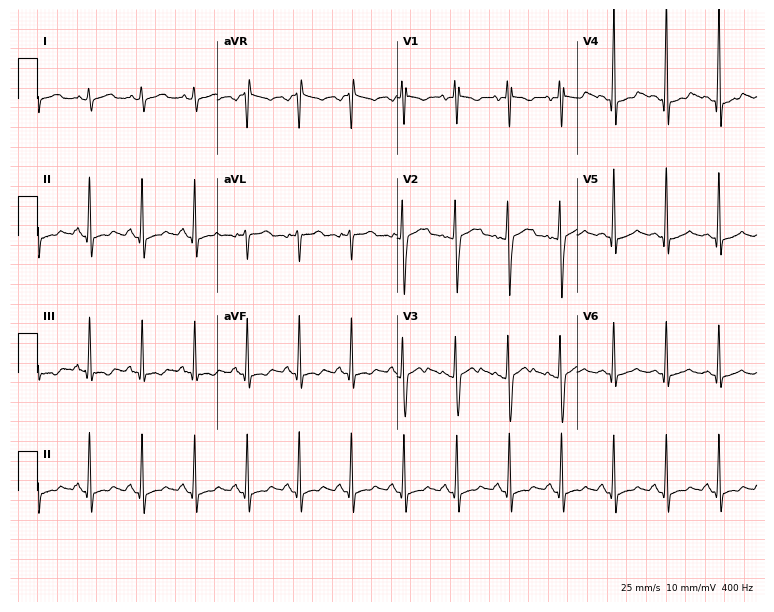
12-lead ECG from a male, 17 years old. Findings include sinus tachycardia (a sinus rate of 100 beats per minute or more).